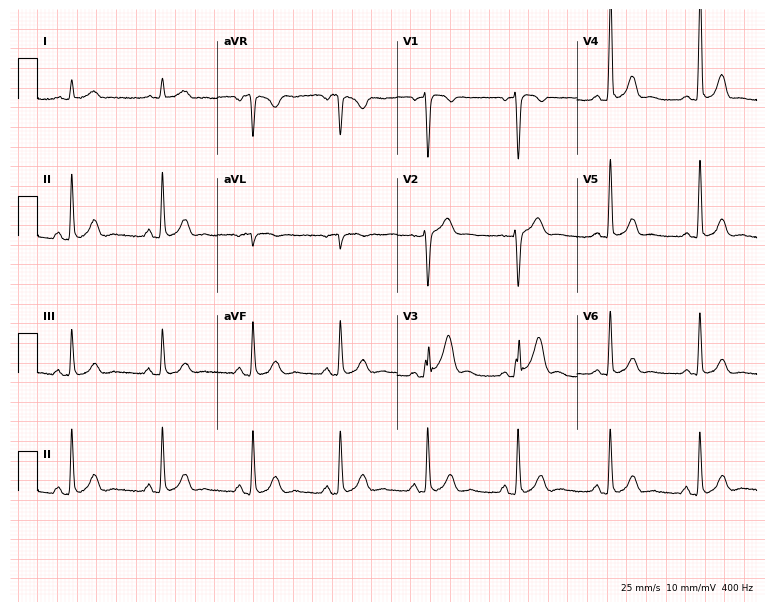
ECG (7.3-second recording at 400 Hz) — a 40-year-old male. Labelled as a normal ECG.